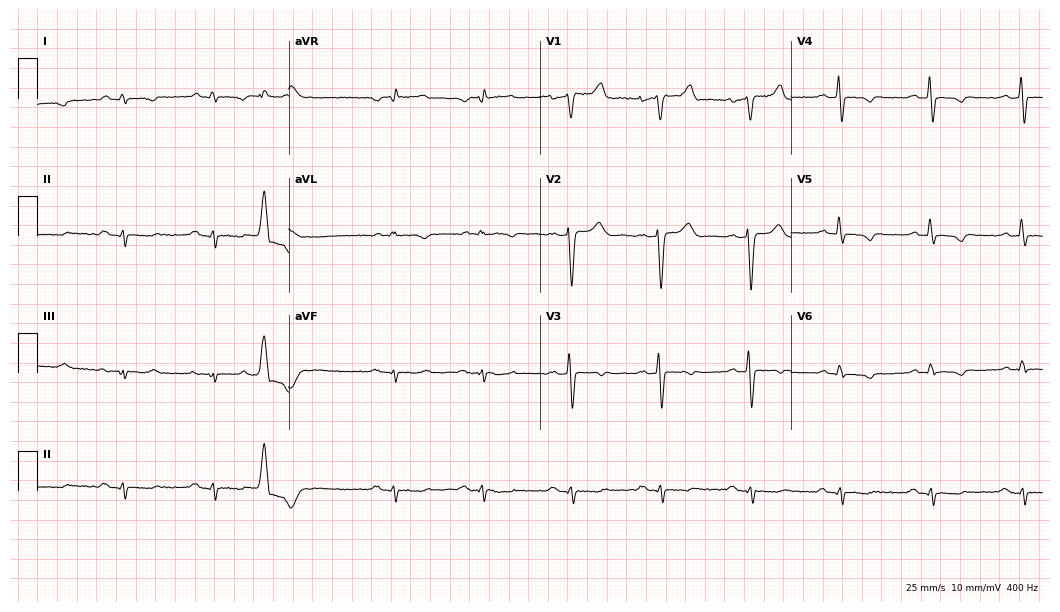
Standard 12-lead ECG recorded from a 71-year-old male patient. None of these six findings is recorded: first-degree AV block, right bundle branch block (RBBB), left bundle branch block (LBBB), sinus bradycardia, atrial fibrillation (AF), sinus tachycardia. Only these six findings were labelled.